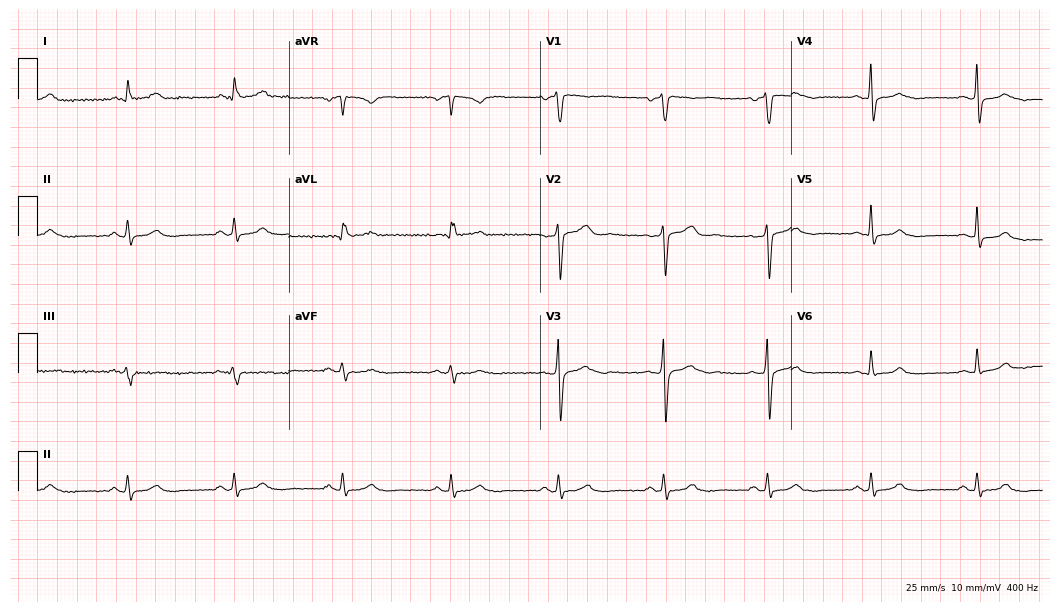
Electrocardiogram (10.2-second recording at 400 Hz), a 60-year-old male. Of the six screened findings (first-degree AV block, right bundle branch block, left bundle branch block, sinus bradycardia, atrial fibrillation, sinus tachycardia), none is recorded. Only these six findings were labelled.